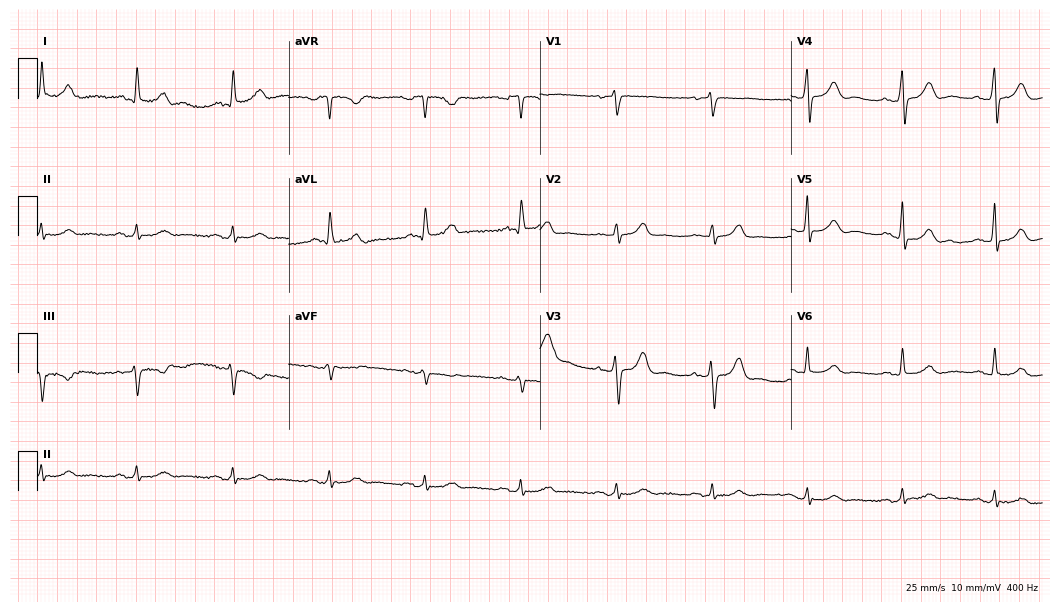
Resting 12-lead electrocardiogram. Patient: a man, 73 years old. Read as a normal ECG.